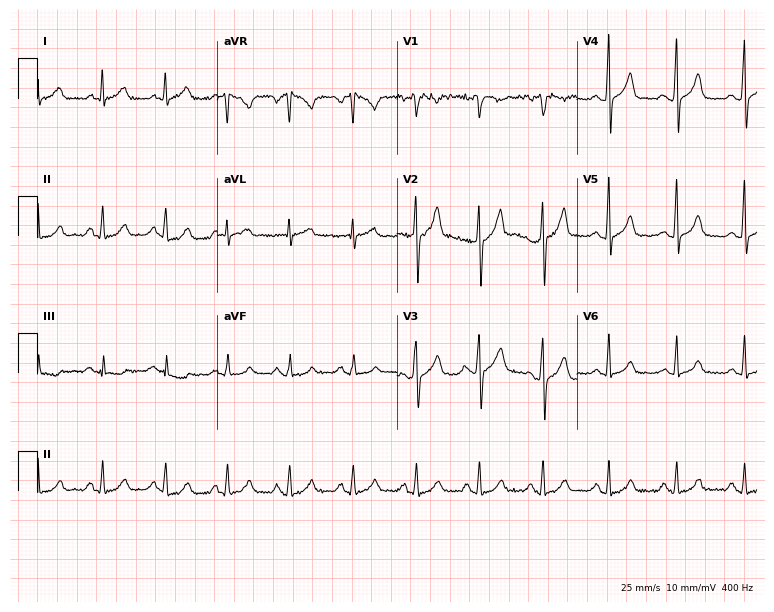
Standard 12-lead ECG recorded from a male patient, 61 years old (7.3-second recording at 400 Hz). Read as a normal ECG.